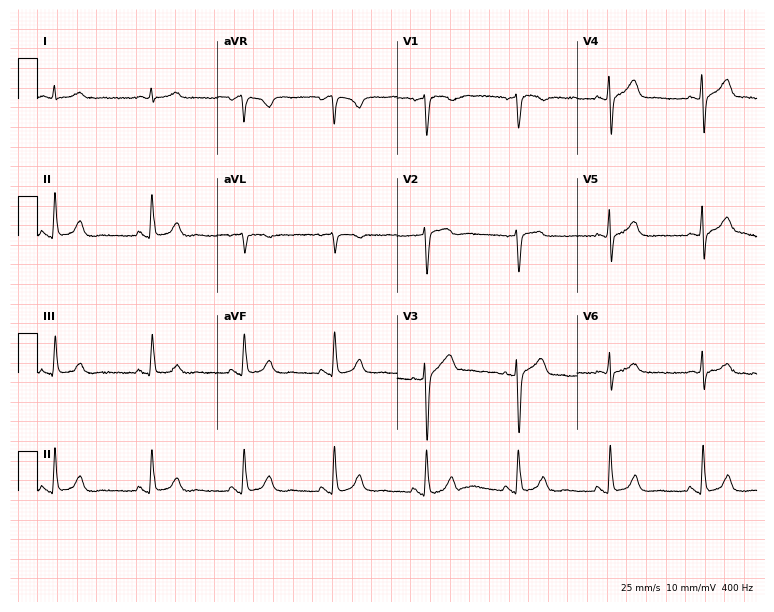
12-lead ECG from a 63-year-old male patient. Recorded interpretation: within normal limits.